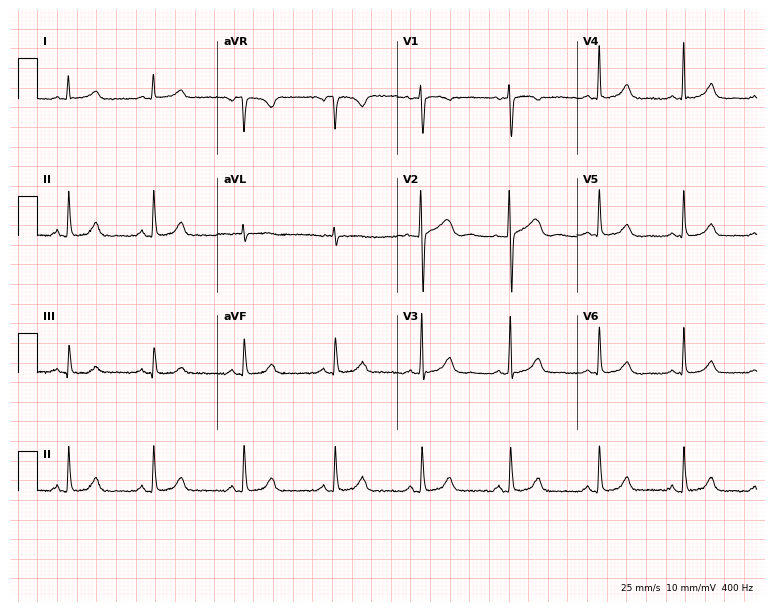
12-lead ECG (7.3-second recording at 400 Hz) from a female patient, 83 years old. Labelled as a normal ECG.